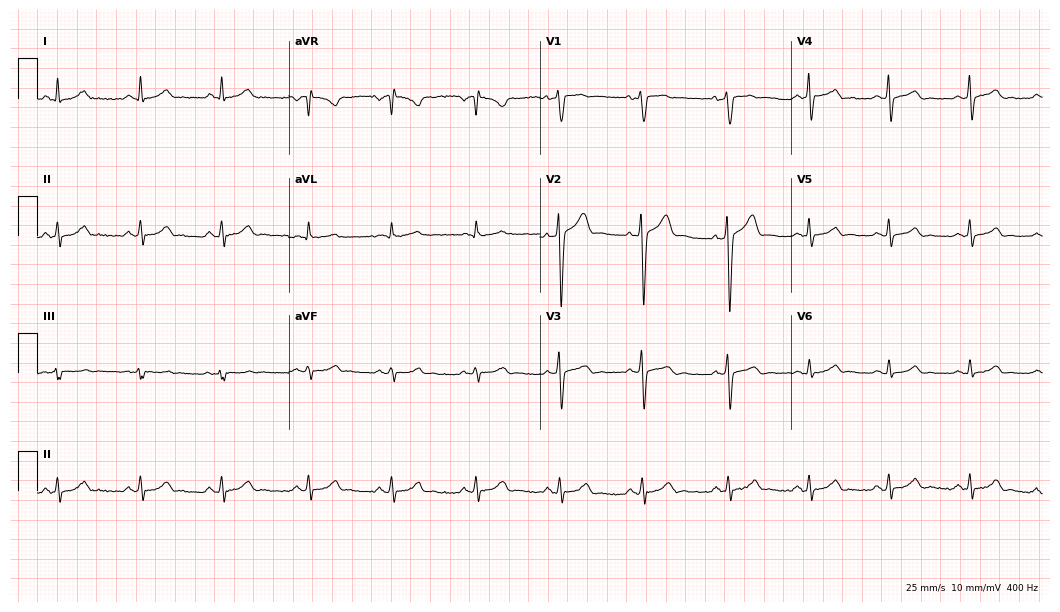
Resting 12-lead electrocardiogram (10.2-second recording at 400 Hz). Patient: a 37-year-old male. Read as a normal ECG.